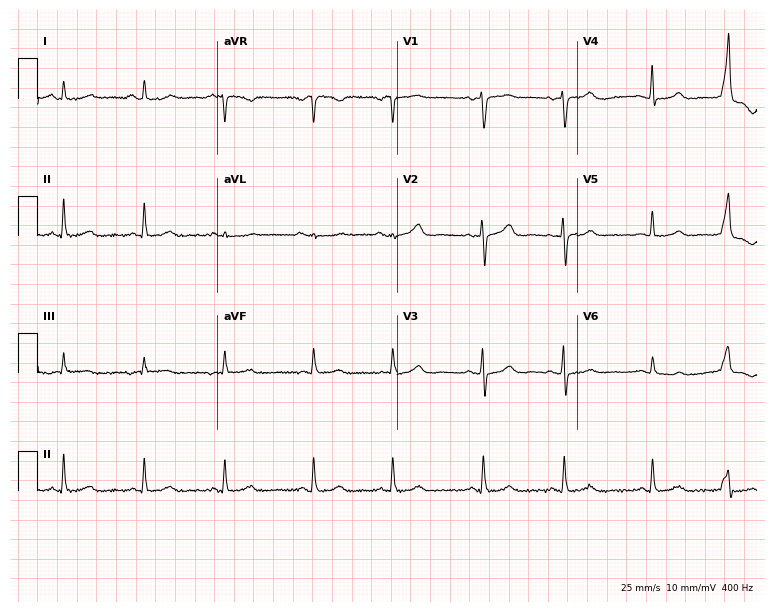
12-lead ECG from a female, 84 years old. Labelled as a normal ECG.